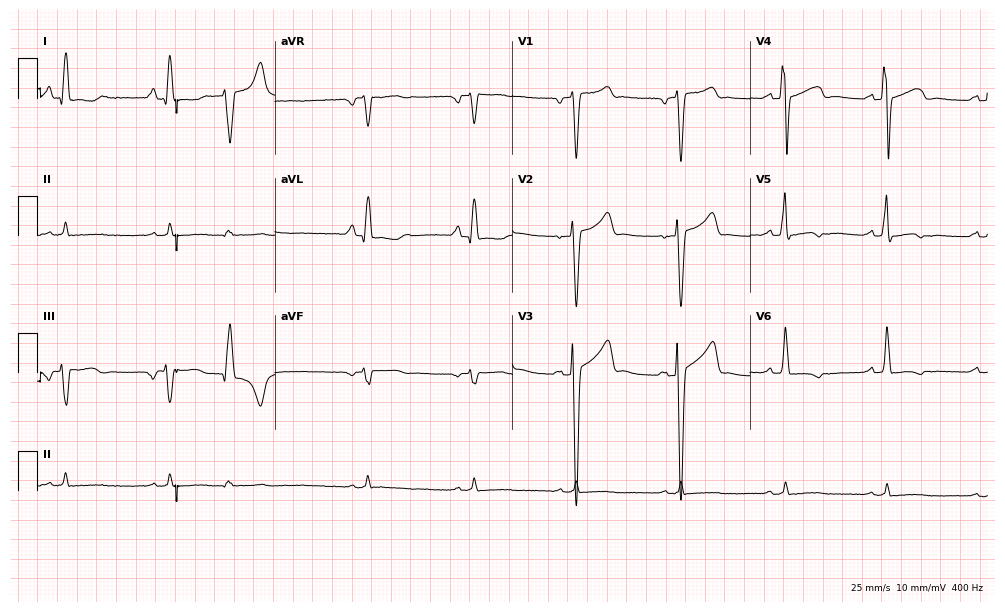
12-lead ECG from a 76-year-old male. Screened for six findings — first-degree AV block, right bundle branch block, left bundle branch block, sinus bradycardia, atrial fibrillation, sinus tachycardia — none is recorded.